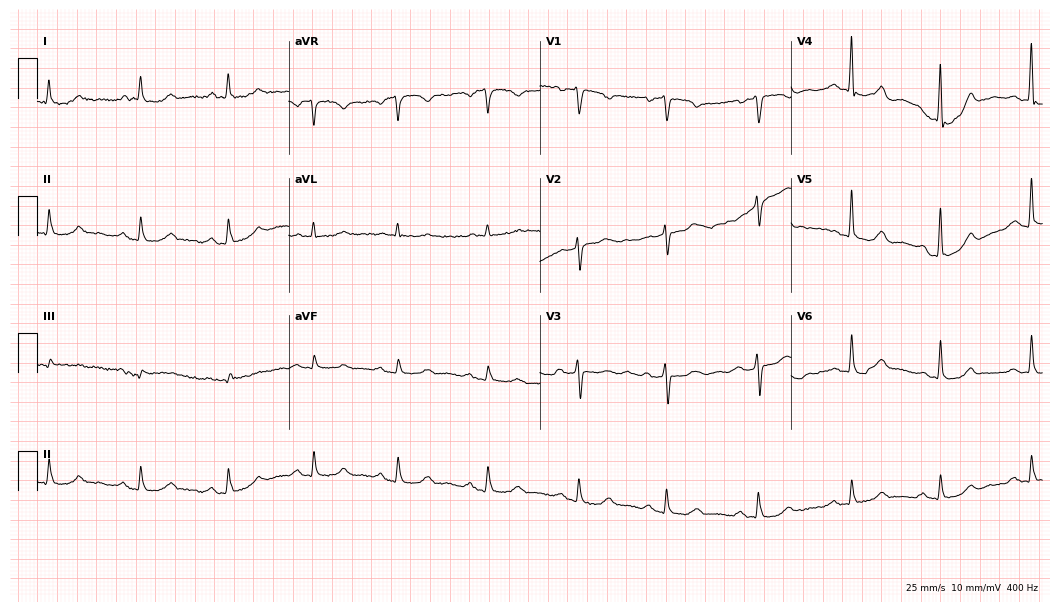
ECG (10.2-second recording at 400 Hz) — a male patient, 73 years old. Labelled as a normal ECG.